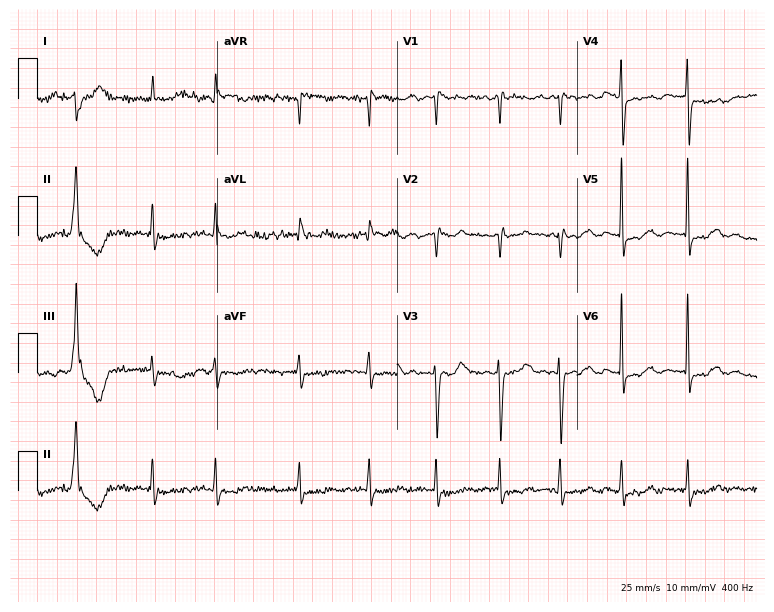
Electrocardiogram, an 82-year-old female. Interpretation includes atrial fibrillation (AF).